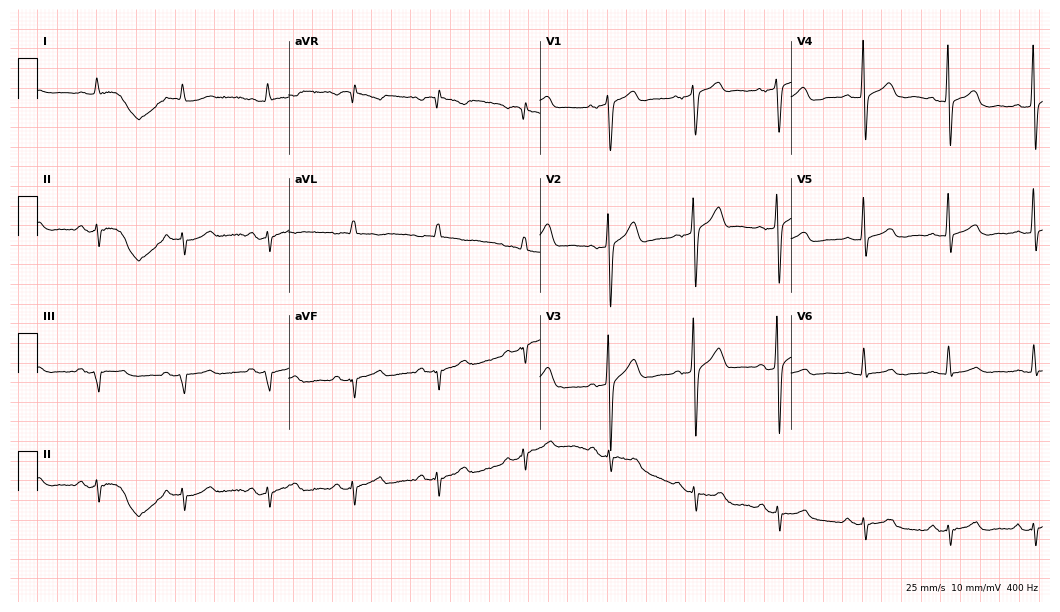
12-lead ECG (10.2-second recording at 400 Hz) from a 66-year-old male patient. Screened for six findings — first-degree AV block, right bundle branch block, left bundle branch block, sinus bradycardia, atrial fibrillation, sinus tachycardia — none is recorded. Only these six findings were labelled.